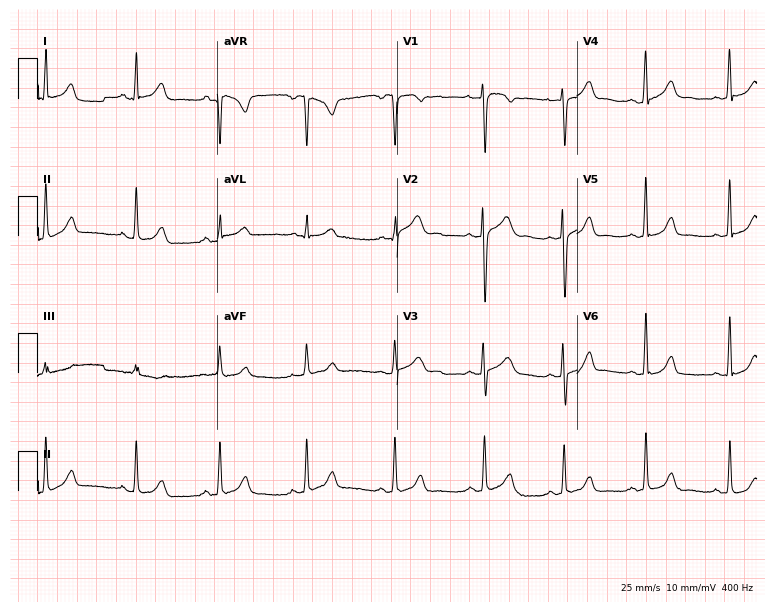
ECG (7.3-second recording at 400 Hz) — a female patient, 25 years old. Labelled as a normal ECG.